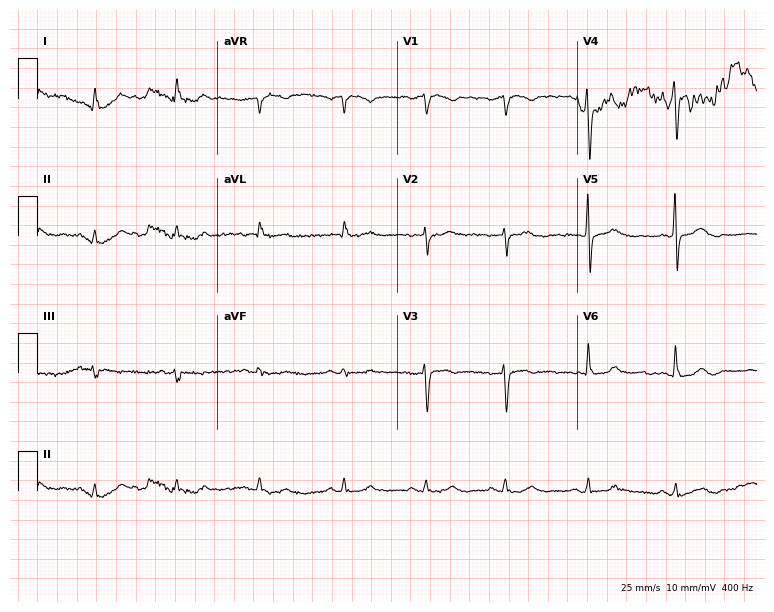
12-lead ECG from a man, 70 years old. Recorded interpretation: within normal limits.